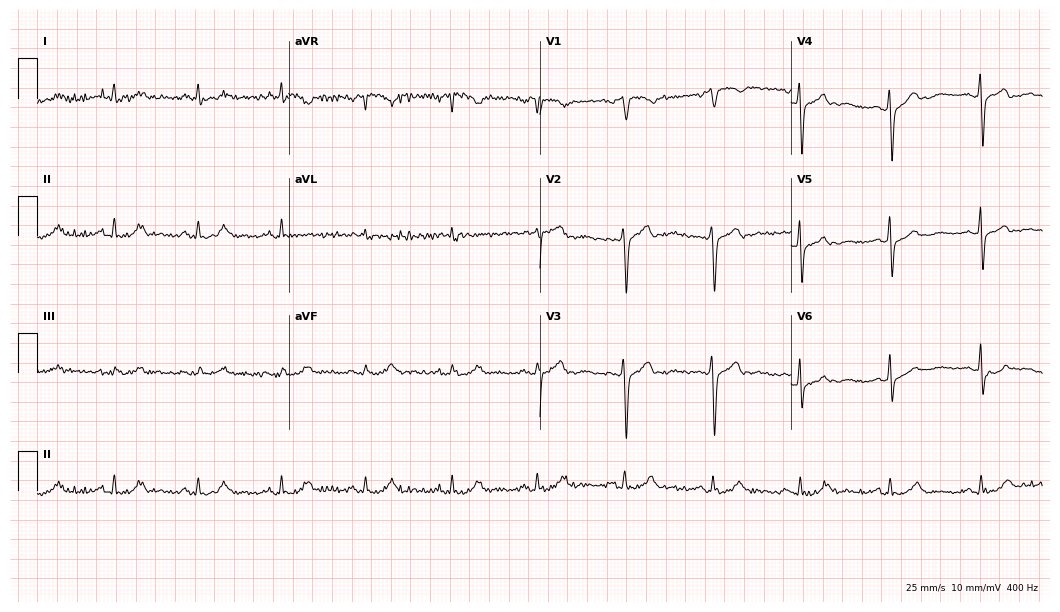
ECG — a man, 69 years old. Screened for six findings — first-degree AV block, right bundle branch block (RBBB), left bundle branch block (LBBB), sinus bradycardia, atrial fibrillation (AF), sinus tachycardia — none is recorded.